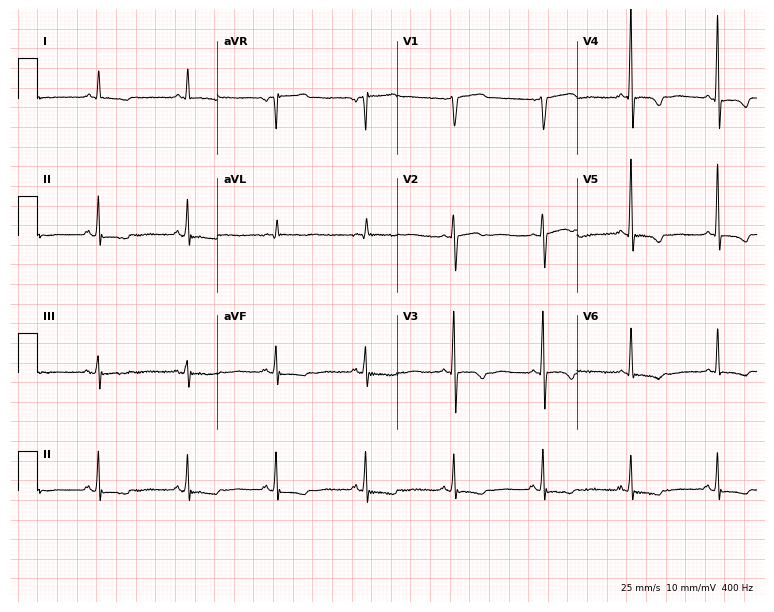
Resting 12-lead electrocardiogram. Patient: a male, 72 years old. None of these six findings is recorded: first-degree AV block, right bundle branch block, left bundle branch block, sinus bradycardia, atrial fibrillation, sinus tachycardia.